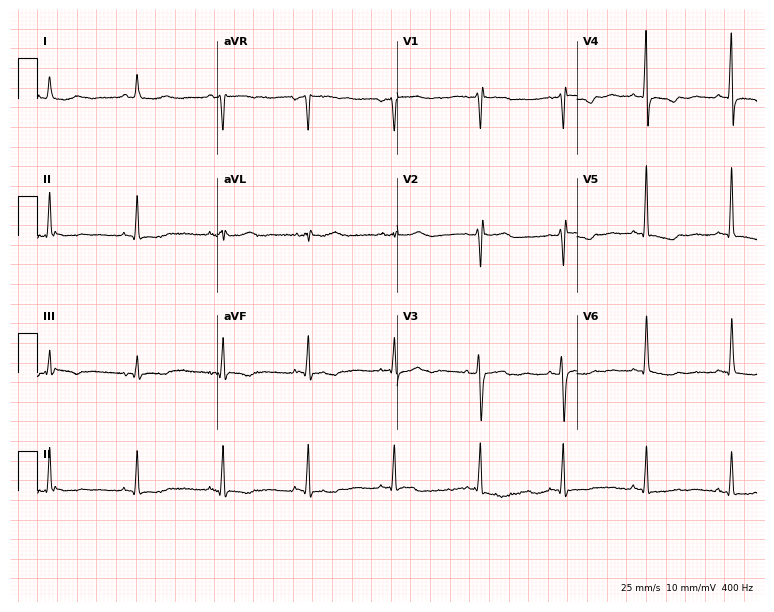
ECG — a woman, 70 years old. Screened for six findings — first-degree AV block, right bundle branch block, left bundle branch block, sinus bradycardia, atrial fibrillation, sinus tachycardia — none is recorded.